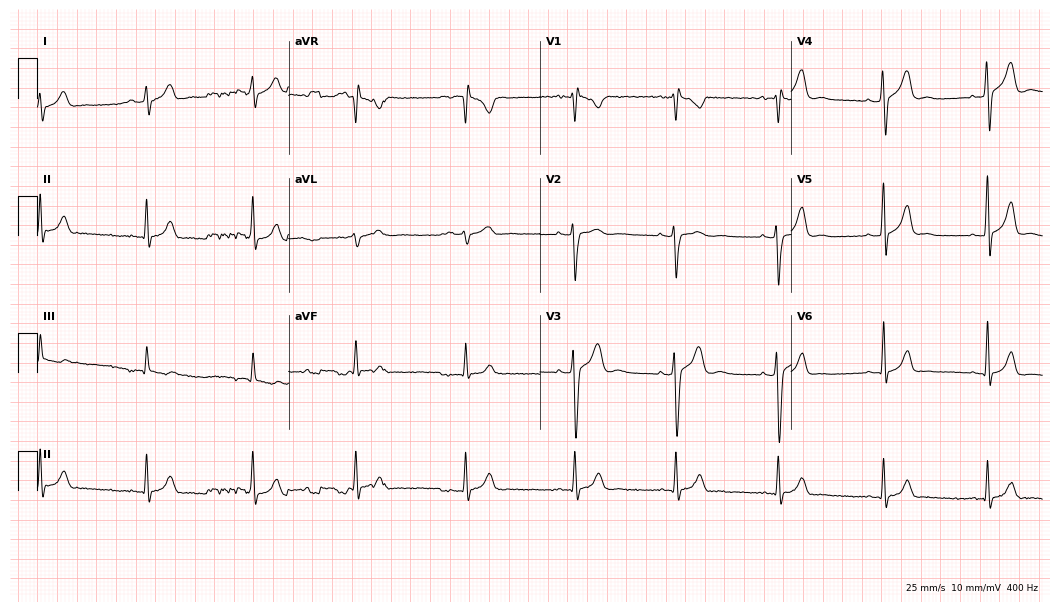
12-lead ECG from a 20-year-old man. Screened for six findings — first-degree AV block, right bundle branch block, left bundle branch block, sinus bradycardia, atrial fibrillation, sinus tachycardia — none is recorded.